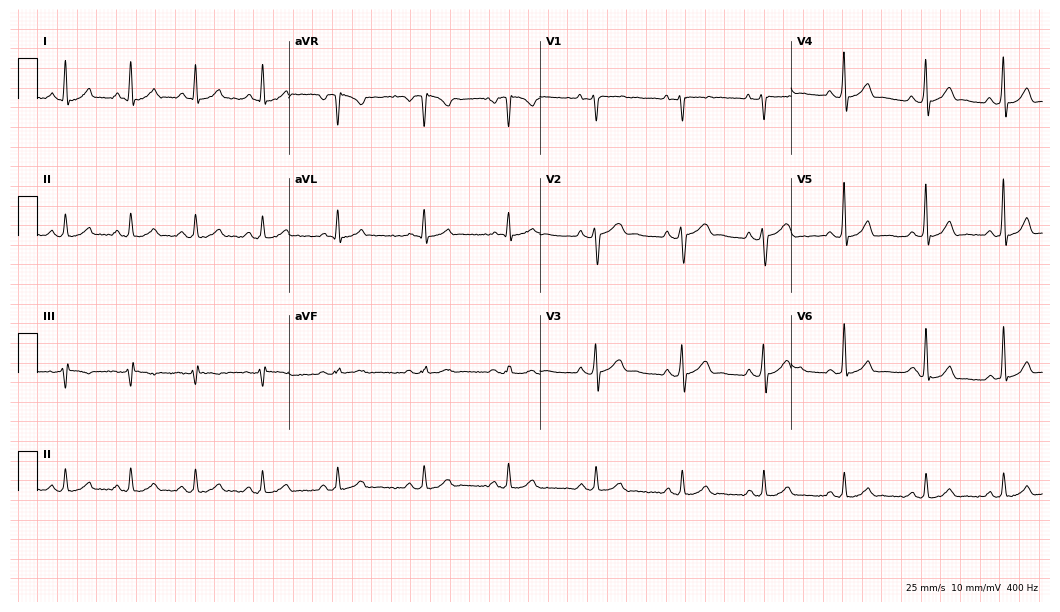
12-lead ECG from a 41-year-old male patient. Labelled as a normal ECG.